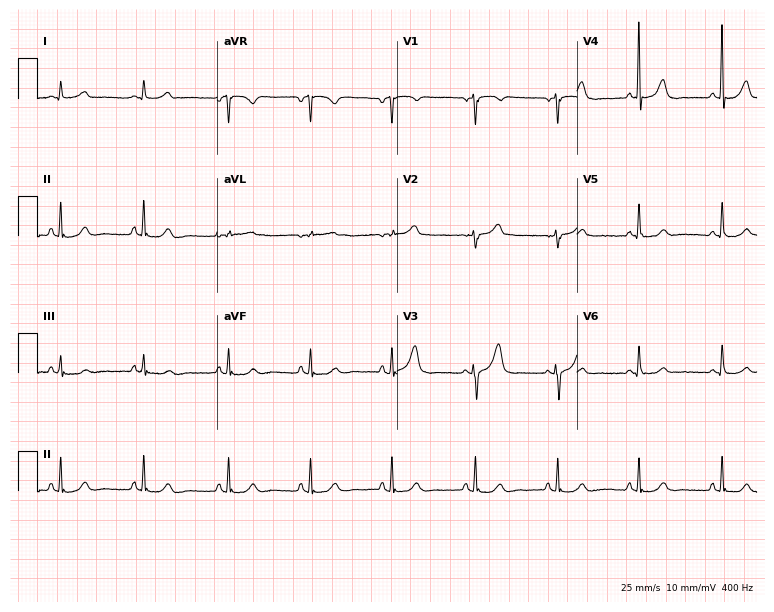
12-lead ECG (7.3-second recording at 400 Hz) from a 72-year-old woman. Screened for six findings — first-degree AV block, right bundle branch block, left bundle branch block, sinus bradycardia, atrial fibrillation, sinus tachycardia — none is recorded. Only these six findings were labelled.